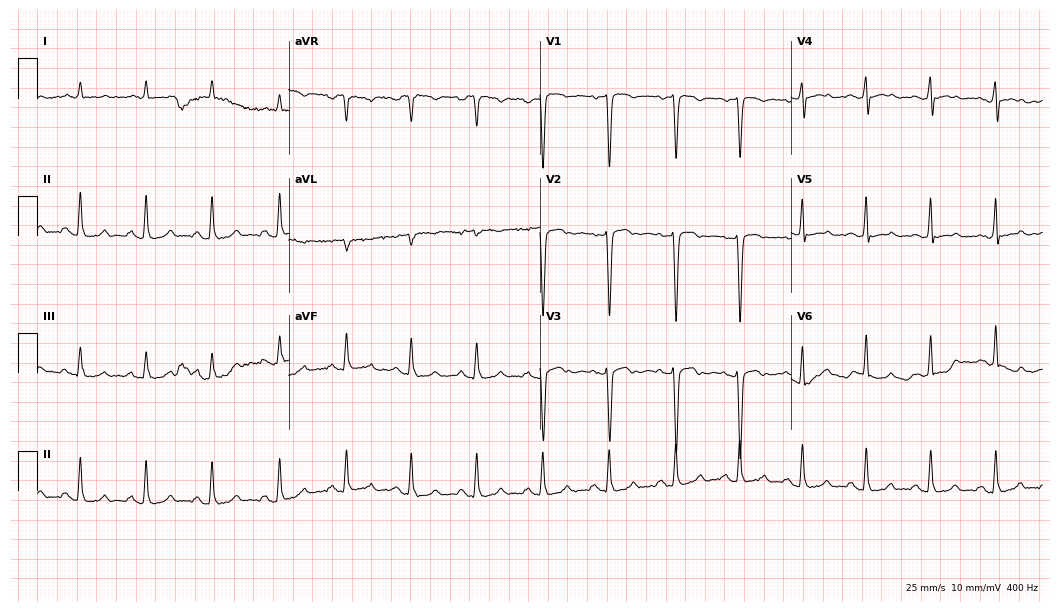
Resting 12-lead electrocardiogram. Patient: a man, 55 years old. None of these six findings is recorded: first-degree AV block, right bundle branch block (RBBB), left bundle branch block (LBBB), sinus bradycardia, atrial fibrillation (AF), sinus tachycardia. Only these six findings were labelled.